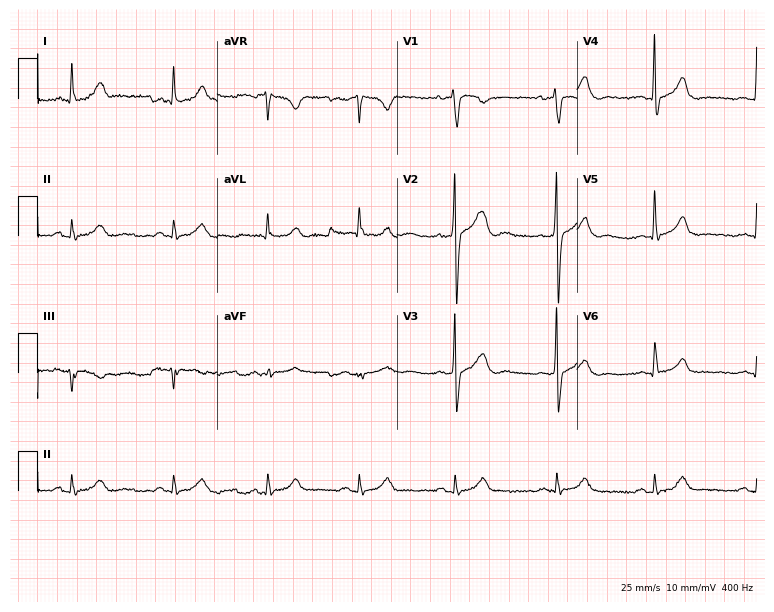
12-lead ECG from a 48-year-old man (7.3-second recording at 400 Hz). No first-degree AV block, right bundle branch block, left bundle branch block, sinus bradycardia, atrial fibrillation or sinus tachycardia recorded for this tracing.